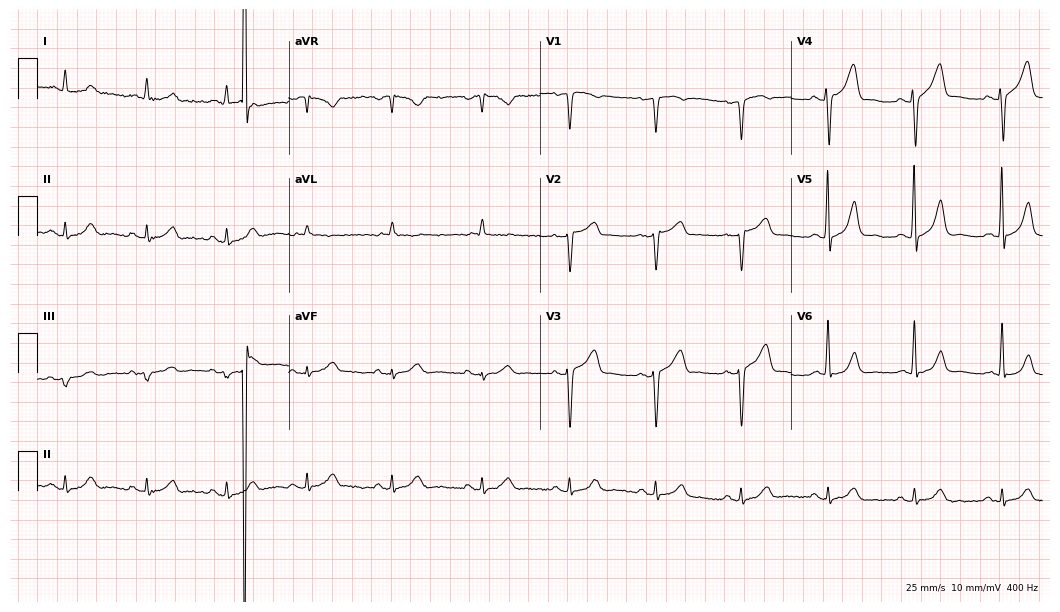
Electrocardiogram (10.2-second recording at 400 Hz), a 68-year-old male. Of the six screened findings (first-degree AV block, right bundle branch block, left bundle branch block, sinus bradycardia, atrial fibrillation, sinus tachycardia), none is recorded. Other findings, if any, are not listed.